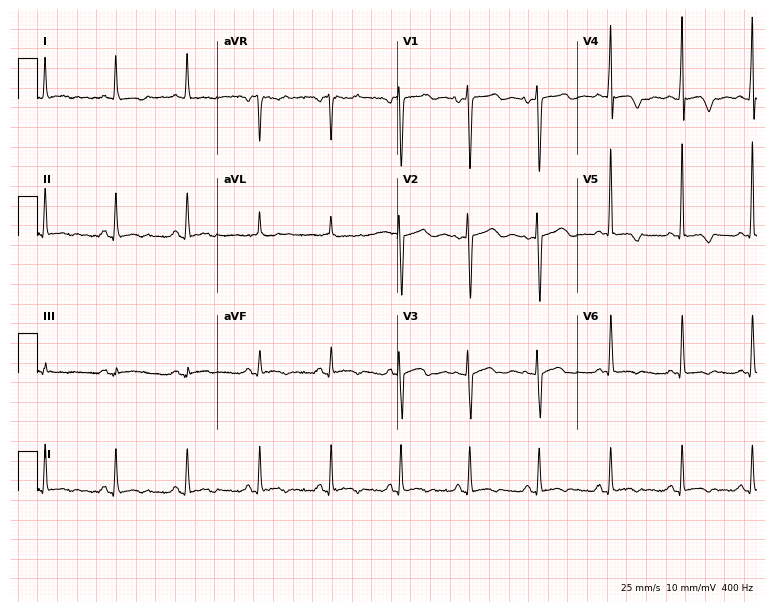
ECG (7.3-second recording at 400 Hz) — a male patient, 50 years old. Screened for six findings — first-degree AV block, right bundle branch block, left bundle branch block, sinus bradycardia, atrial fibrillation, sinus tachycardia — none is recorded.